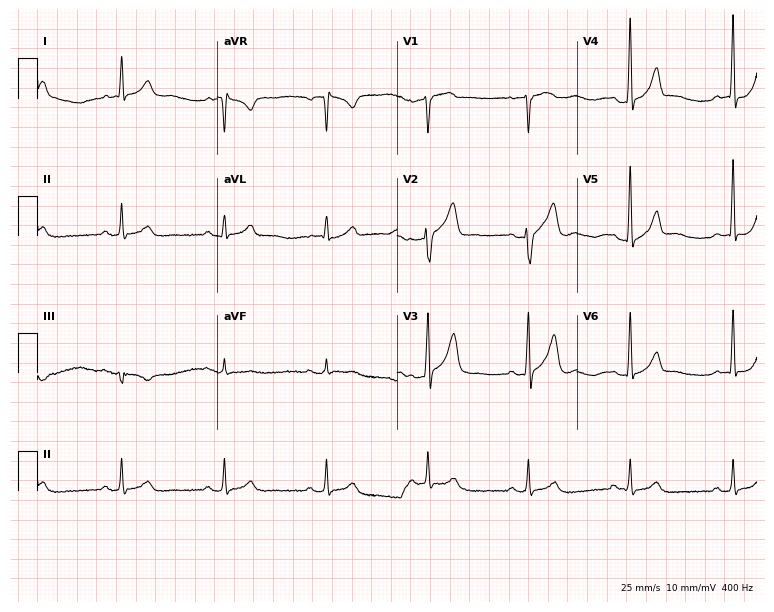
Resting 12-lead electrocardiogram (7.3-second recording at 400 Hz). Patient: a 54-year-old man. Read as a normal ECG.